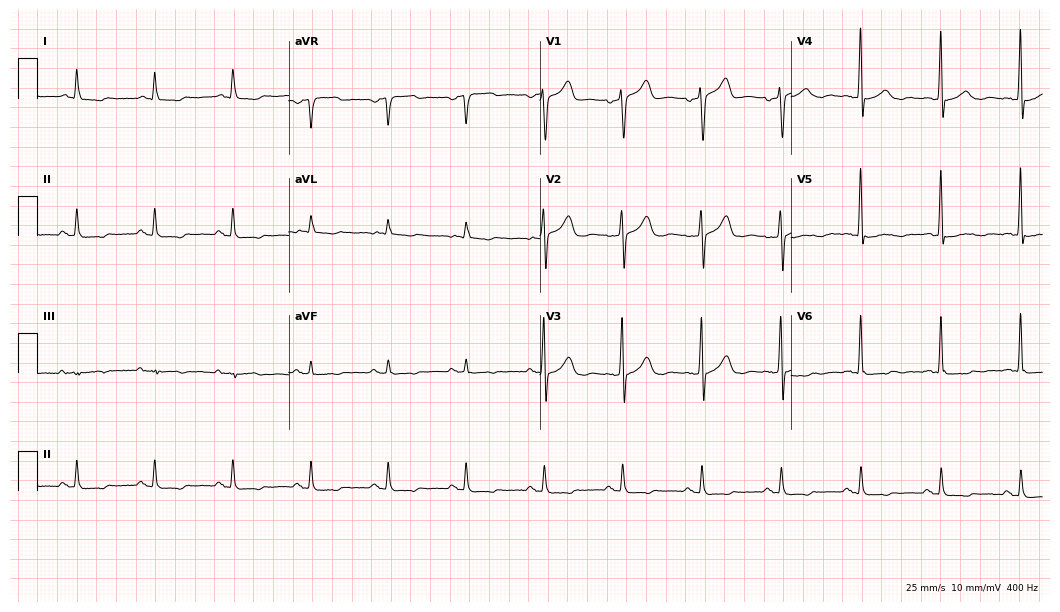
Electrocardiogram (10.2-second recording at 400 Hz), a male, 69 years old. Of the six screened findings (first-degree AV block, right bundle branch block (RBBB), left bundle branch block (LBBB), sinus bradycardia, atrial fibrillation (AF), sinus tachycardia), none is recorded.